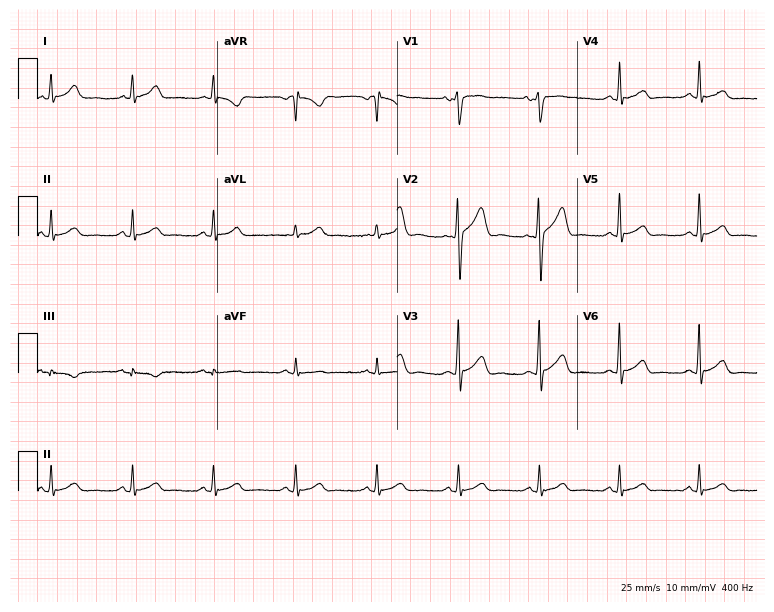
12-lead ECG from a 48-year-old male patient. Labelled as a normal ECG.